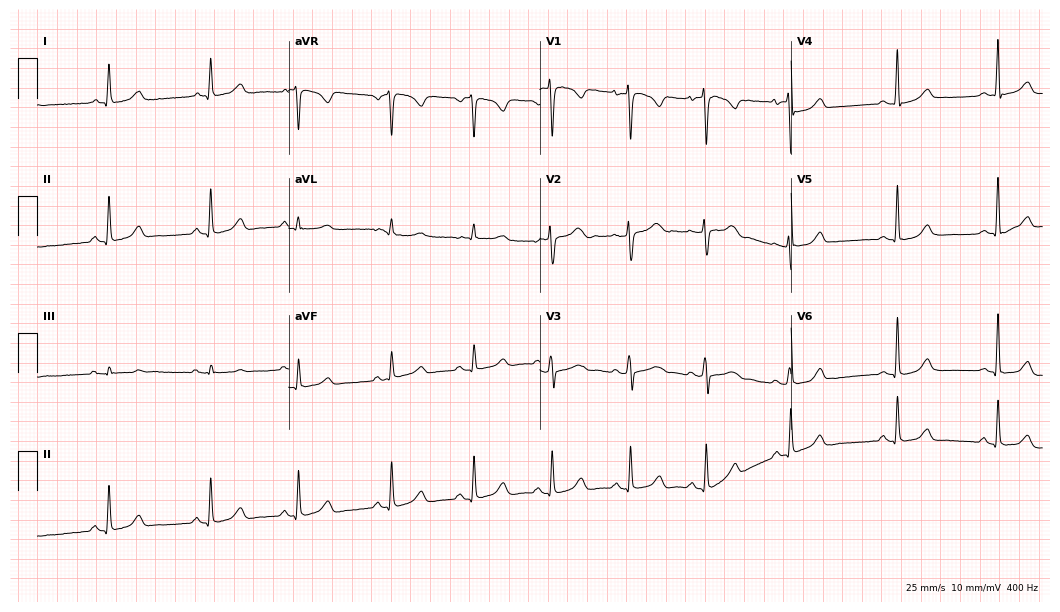
Resting 12-lead electrocardiogram. Patient: a female, 30 years old. Read as a normal ECG.